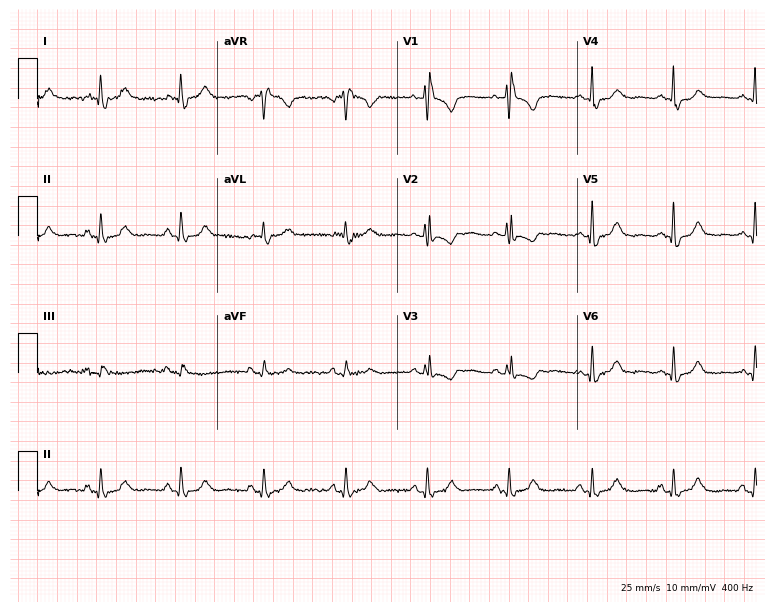
Standard 12-lead ECG recorded from a 56-year-old female (7.3-second recording at 400 Hz). The tracing shows right bundle branch block.